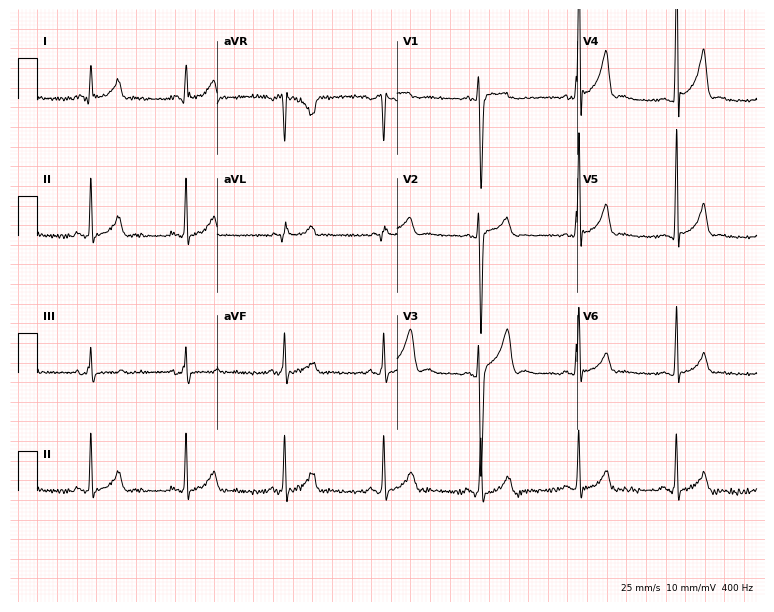
ECG — a man, 29 years old. Labelled as a normal ECG.